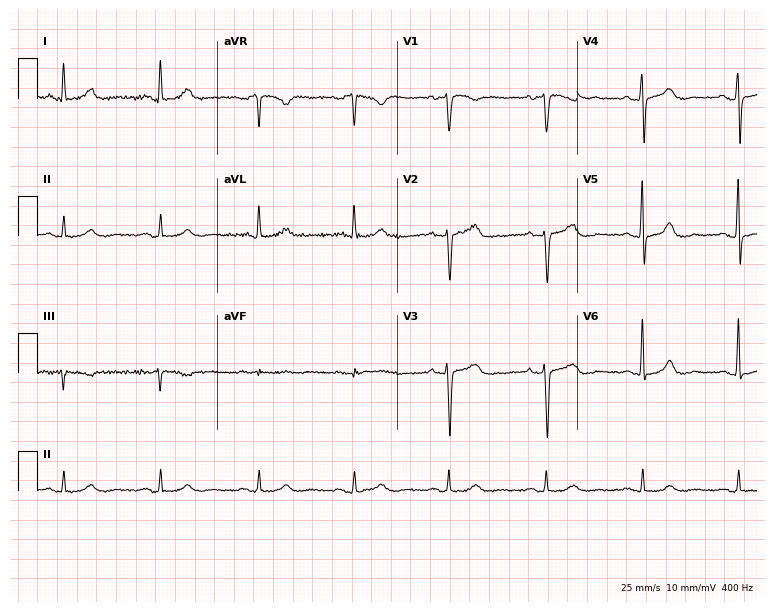
12-lead ECG from a male, 63 years old. Labelled as a normal ECG.